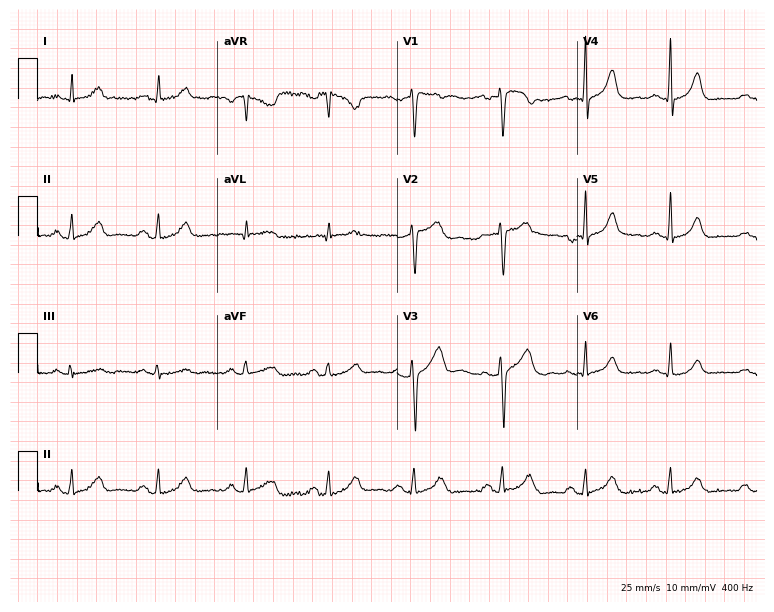
12-lead ECG from a 44-year-old female. Screened for six findings — first-degree AV block, right bundle branch block, left bundle branch block, sinus bradycardia, atrial fibrillation, sinus tachycardia — none is recorded. Only these six findings were labelled.